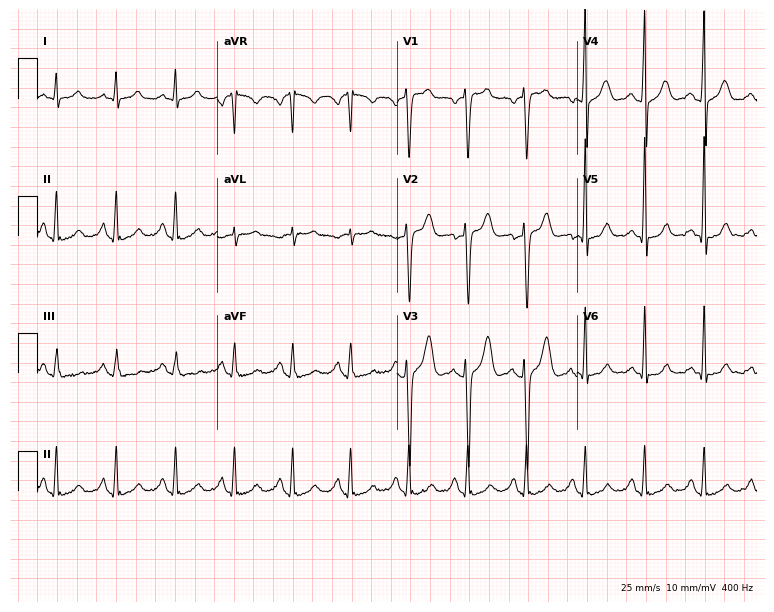
ECG (7.3-second recording at 400 Hz) — a 37-year-old man. Screened for six findings — first-degree AV block, right bundle branch block, left bundle branch block, sinus bradycardia, atrial fibrillation, sinus tachycardia — none is recorded. Findings outside these six are not listed.